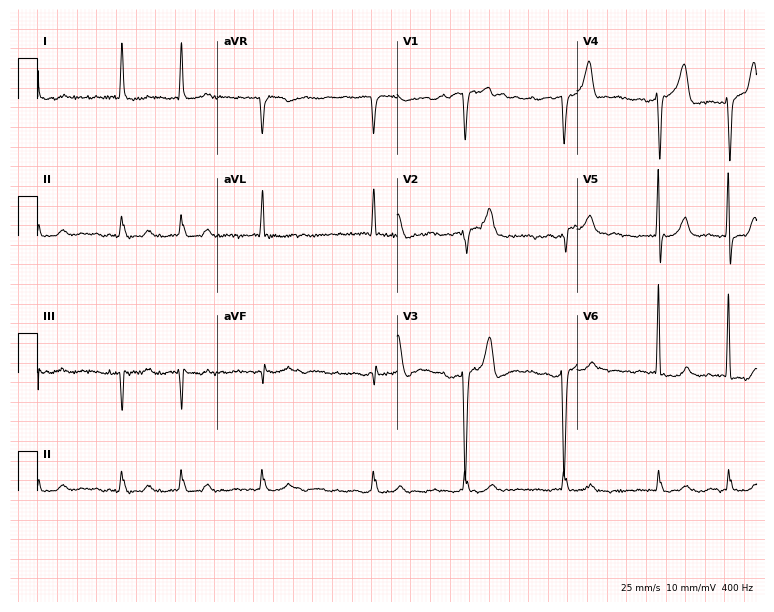
Electrocardiogram, a 79-year-old male. Interpretation includes atrial fibrillation.